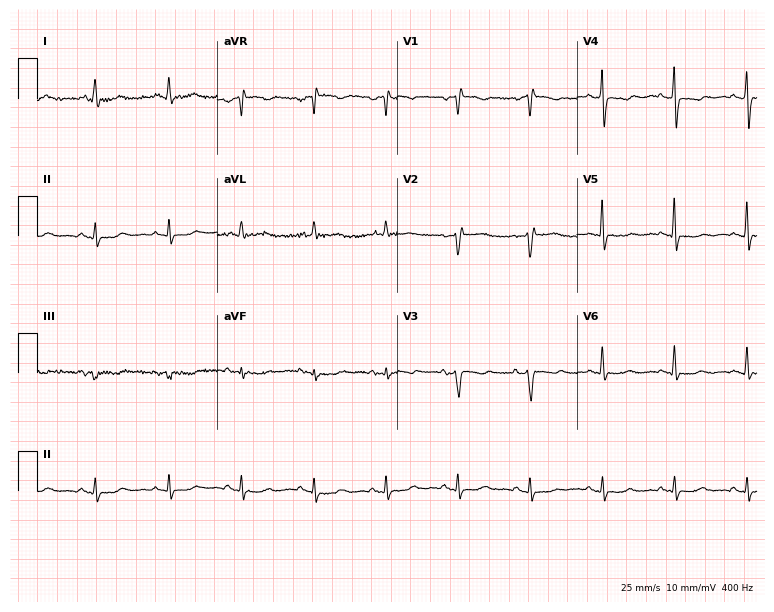
12-lead ECG from a woman, 78 years old. No first-degree AV block, right bundle branch block (RBBB), left bundle branch block (LBBB), sinus bradycardia, atrial fibrillation (AF) or sinus tachycardia recorded for this tracing.